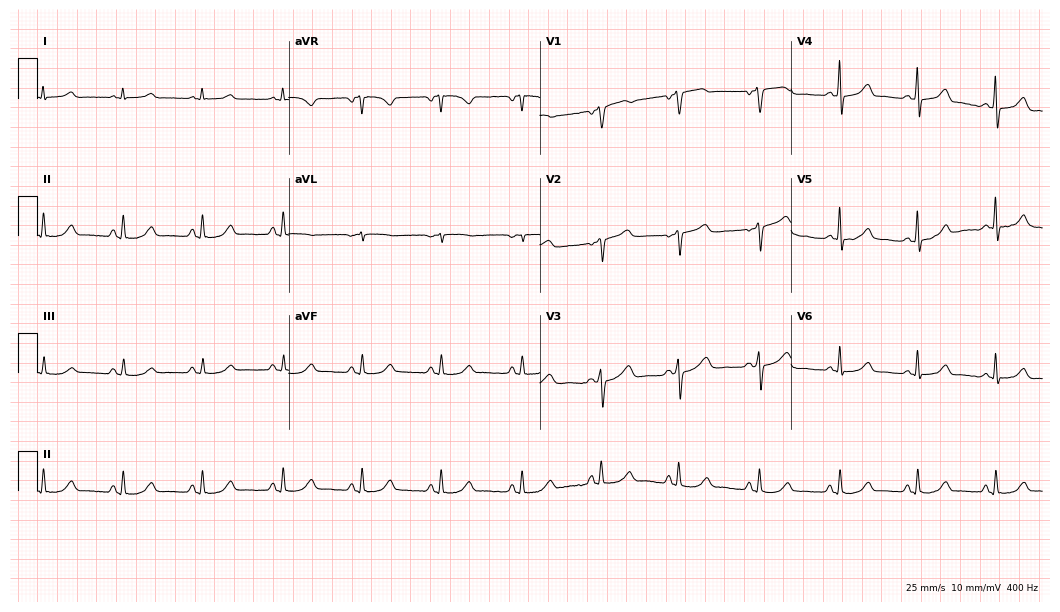
Standard 12-lead ECG recorded from a 54-year-old woman (10.2-second recording at 400 Hz). None of these six findings is recorded: first-degree AV block, right bundle branch block (RBBB), left bundle branch block (LBBB), sinus bradycardia, atrial fibrillation (AF), sinus tachycardia. Other findings, if any, are not listed.